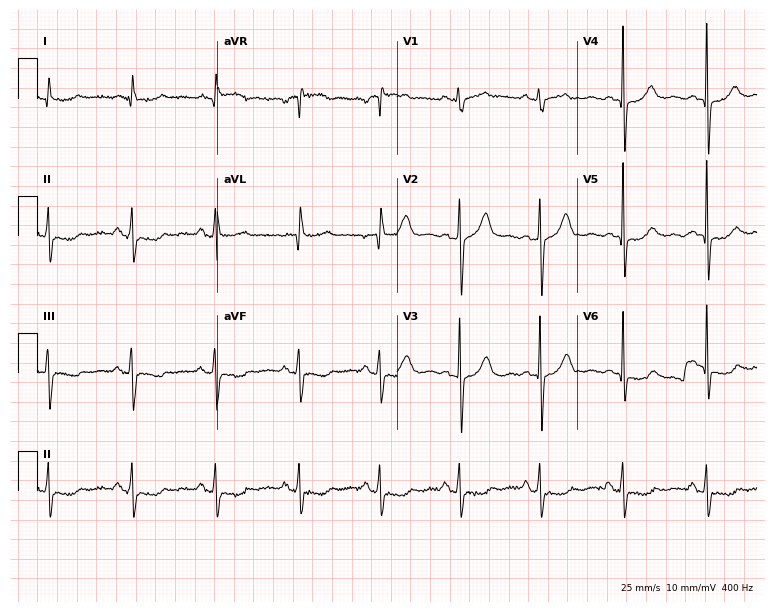
Resting 12-lead electrocardiogram. Patient: a 65-year-old male. Read as a normal ECG.